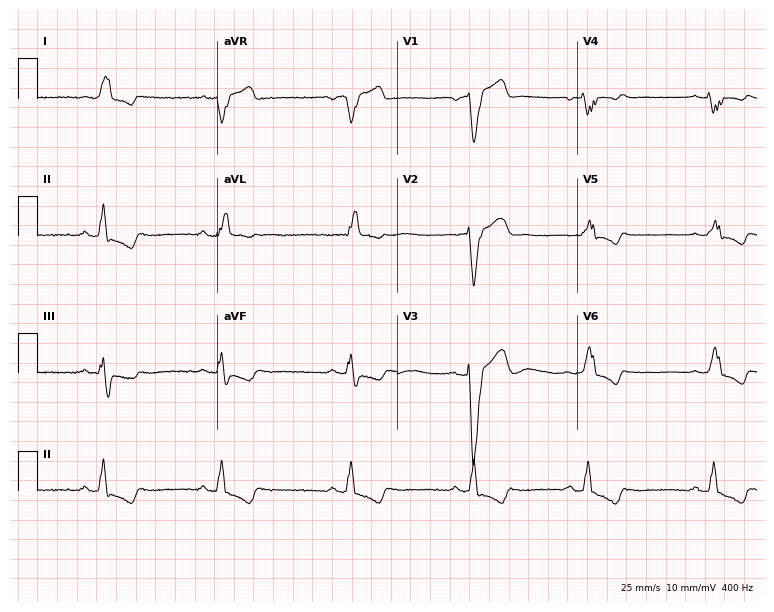
12-lead ECG from a male, 58 years old (7.3-second recording at 400 Hz). Shows left bundle branch block, sinus bradycardia (a sinus rate of 50 beats per minute or less).